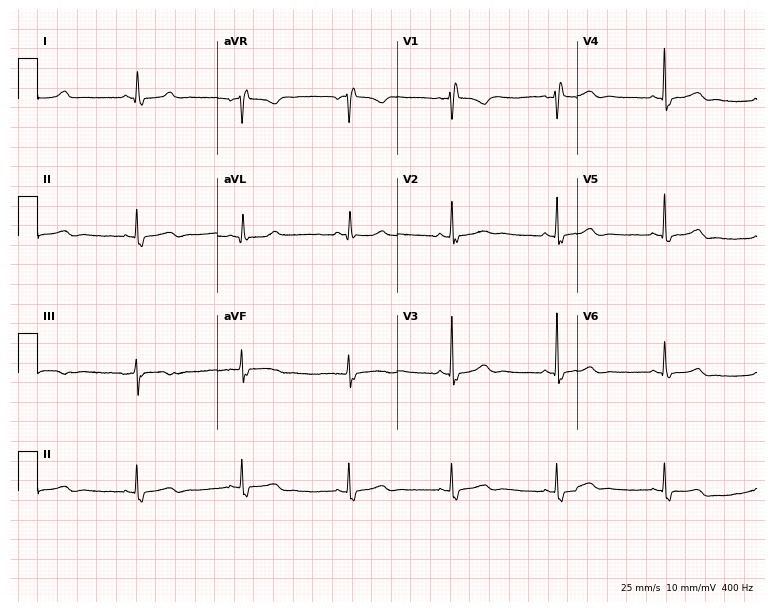
ECG — a woman, 34 years old. Screened for six findings — first-degree AV block, right bundle branch block, left bundle branch block, sinus bradycardia, atrial fibrillation, sinus tachycardia — none is recorded.